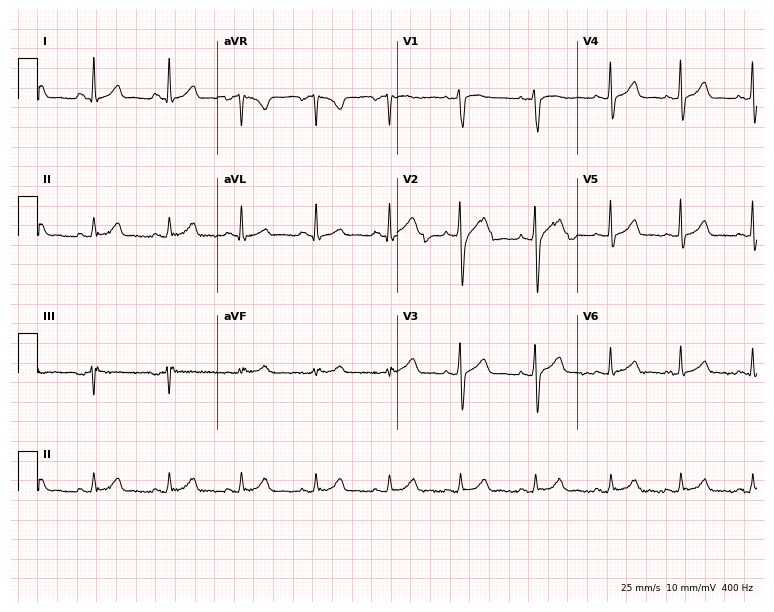
12-lead ECG from a 32-year-old woman. Screened for six findings — first-degree AV block, right bundle branch block, left bundle branch block, sinus bradycardia, atrial fibrillation, sinus tachycardia — none is recorded. Only these six findings were labelled.